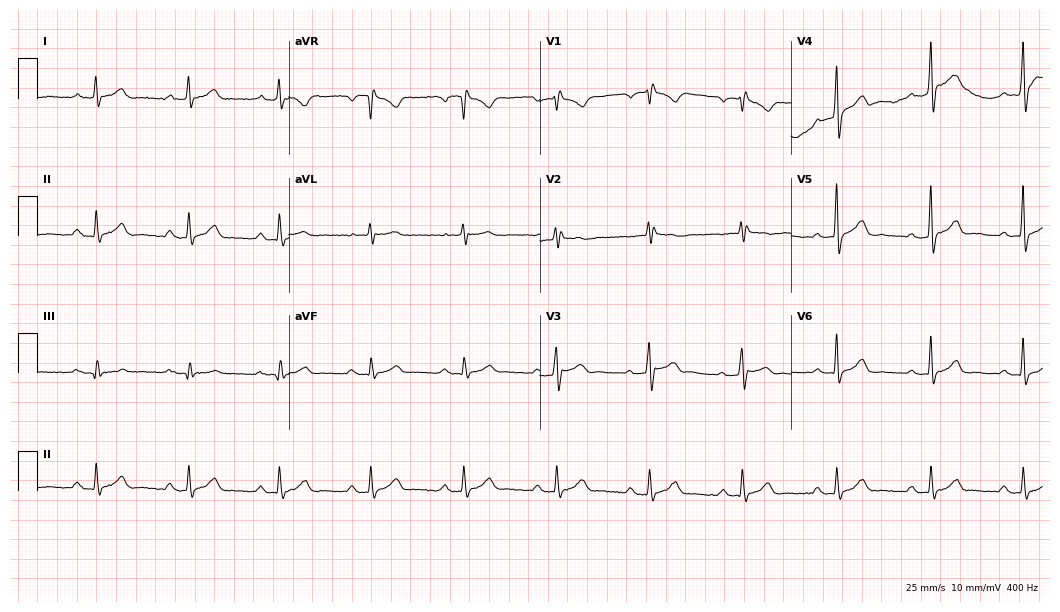
12-lead ECG (10.2-second recording at 400 Hz) from a 53-year-old man. Findings include first-degree AV block.